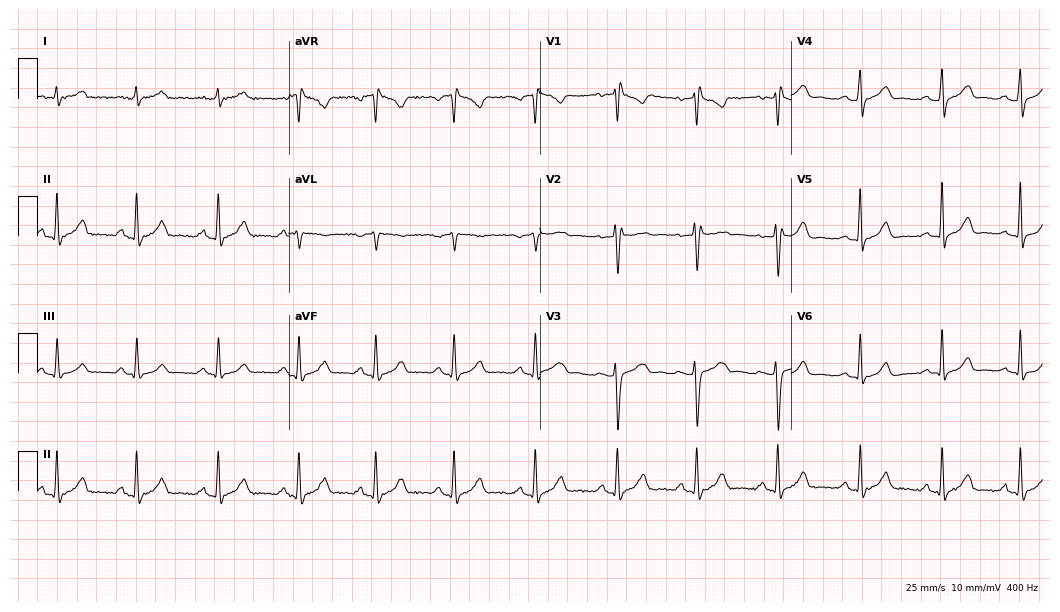
Electrocardiogram, a 30-year-old woman. Of the six screened findings (first-degree AV block, right bundle branch block, left bundle branch block, sinus bradycardia, atrial fibrillation, sinus tachycardia), none is recorded.